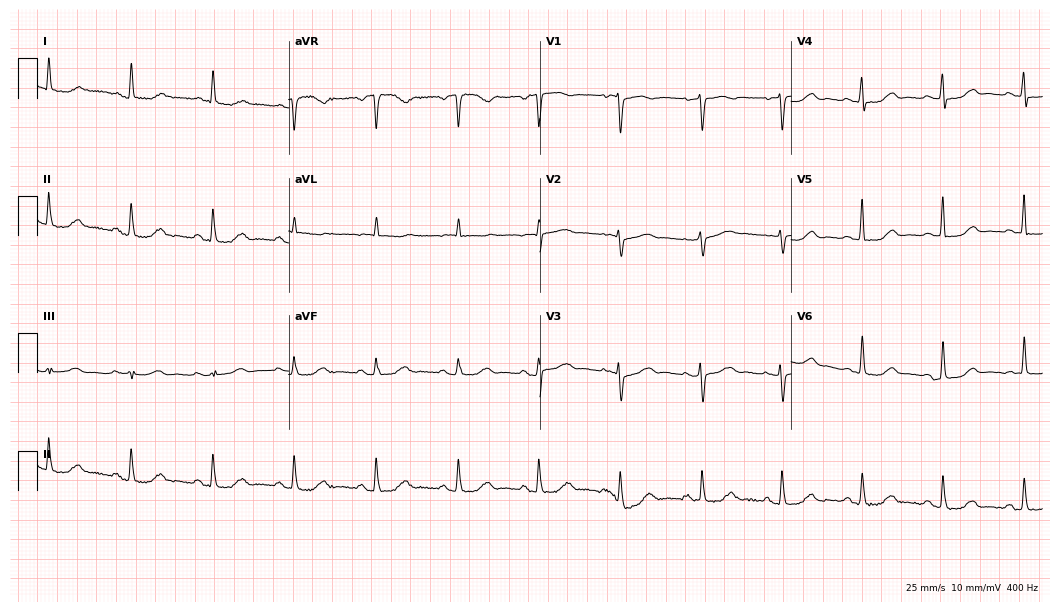
Resting 12-lead electrocardiogram. Patient: a 65-year-old woman. None of these six findings is recorded: first-degree AV block, right bundle branch block, left bundle branch block, sinus bradycardia, atrial fibrillation, sinus tachycardia. Other findings, if any, are not listed.